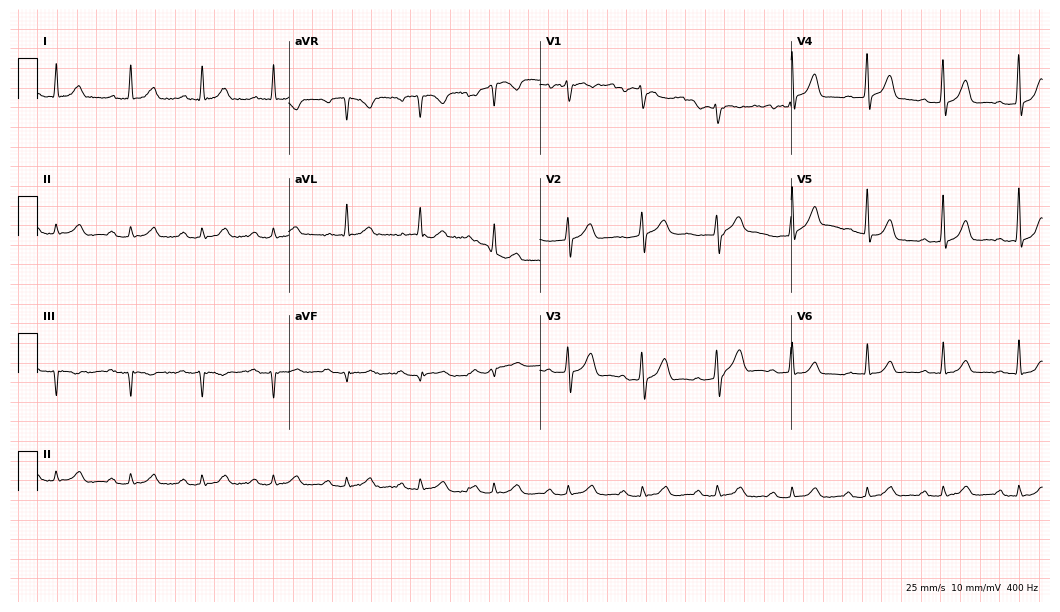
Standard 12-lead ECG recorded from a 71-year-old male patient (10.2-second recording at 400 Hz). The tracing shows first-degree AV block.